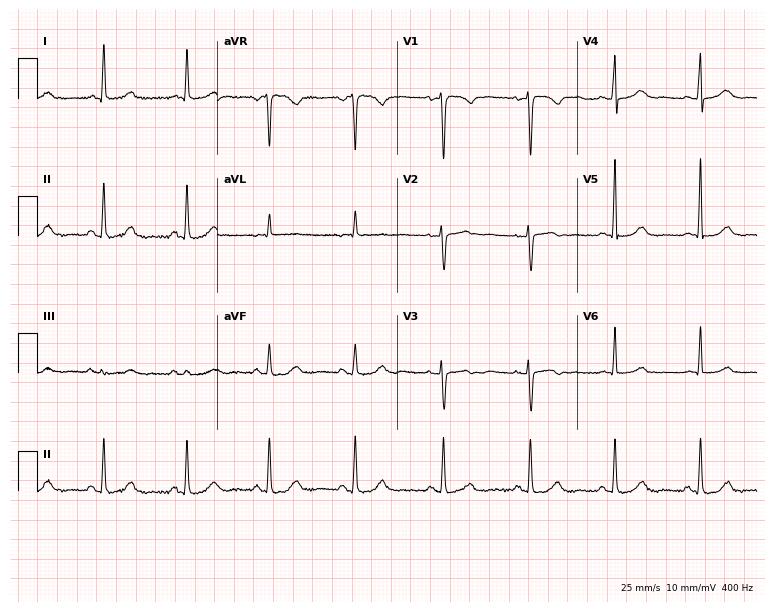
Electrocardiogram, a female, 54 years old. Overall reading on record: normal ECG.